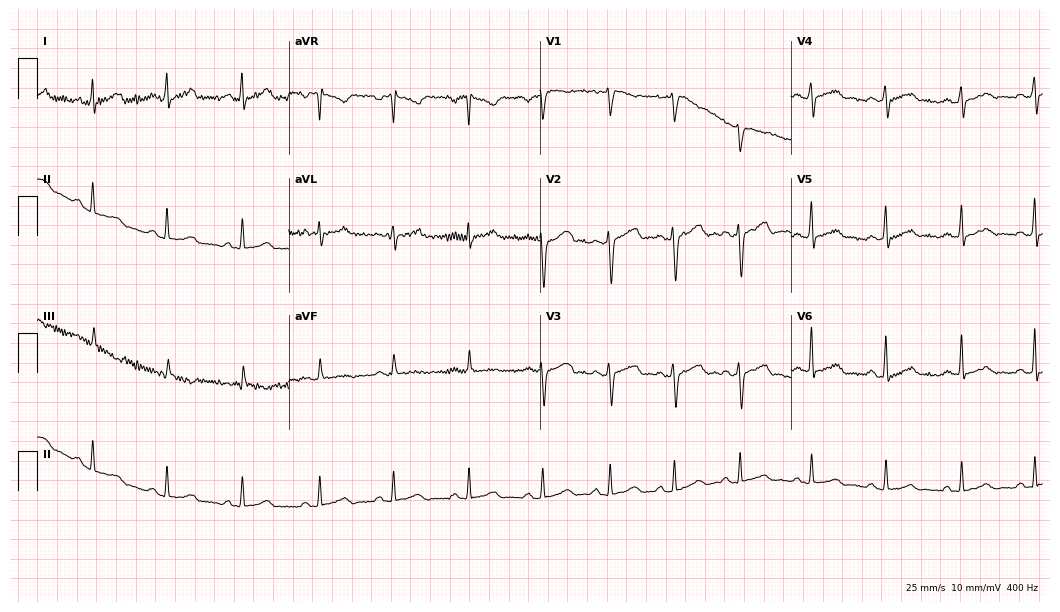
Standard 12-lead ECG recorded from a male, 29 years old (10.2-second recording at 400 Hz). Read as a normal ECG.